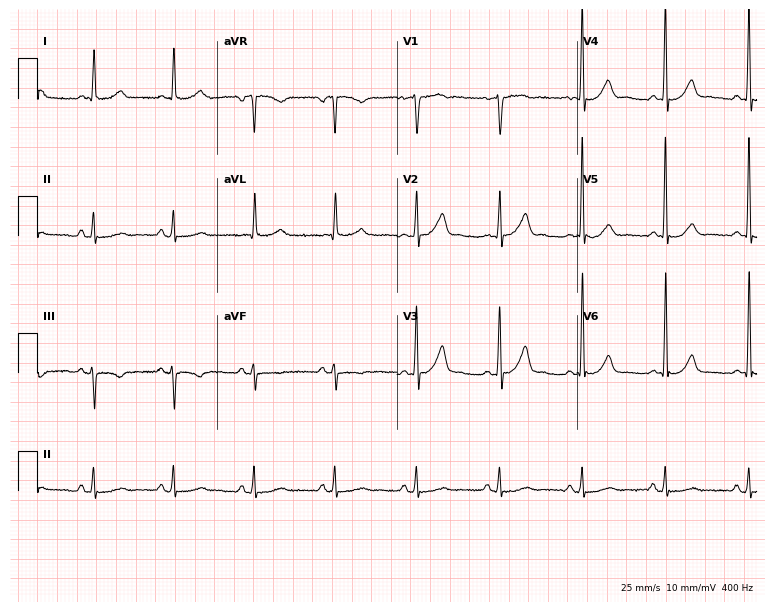
Standard 12-lead ECG recorded from a man, 67 years old. Read as a normal ECG.